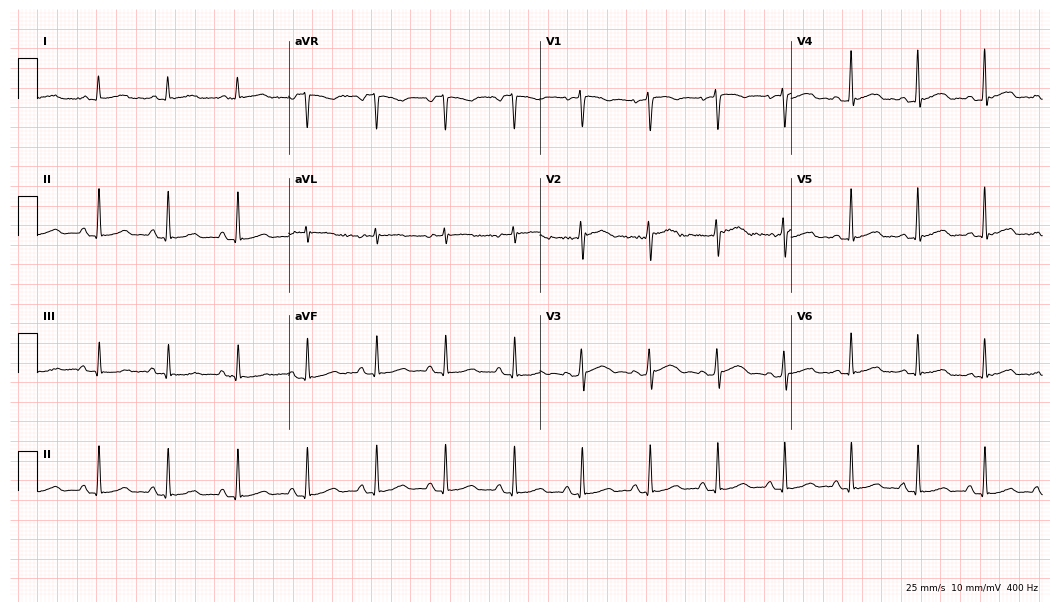
12-lead ECG (10.2-second recording at 400 Hz) from a female, 47 years old. Screened for six findings — first-degree AV block, right bundle branch block, left bundle branch block, sinus bradycardia, atrial fibrillation, sinus tachycardia — none is recorded. Only these six findings were labelled.